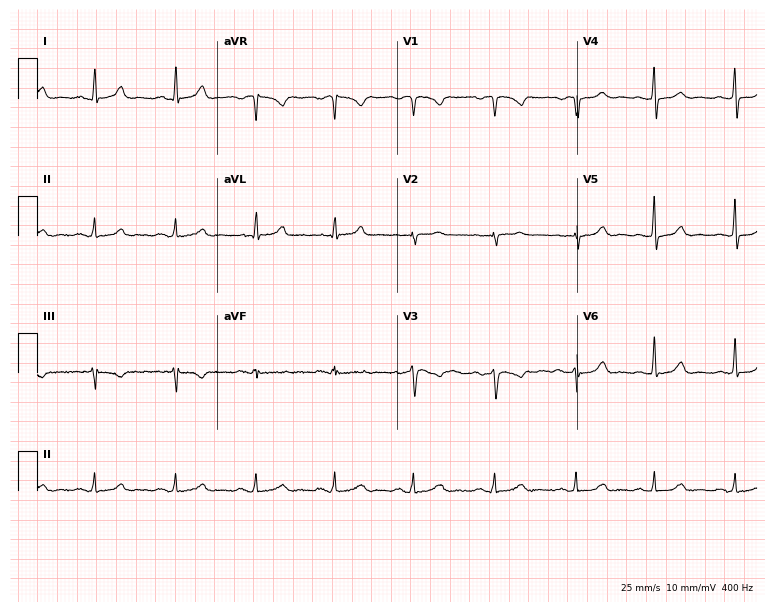
Standard 12-lead ECG recorded from a female patient, 33 years old. Read as a normal ECG.